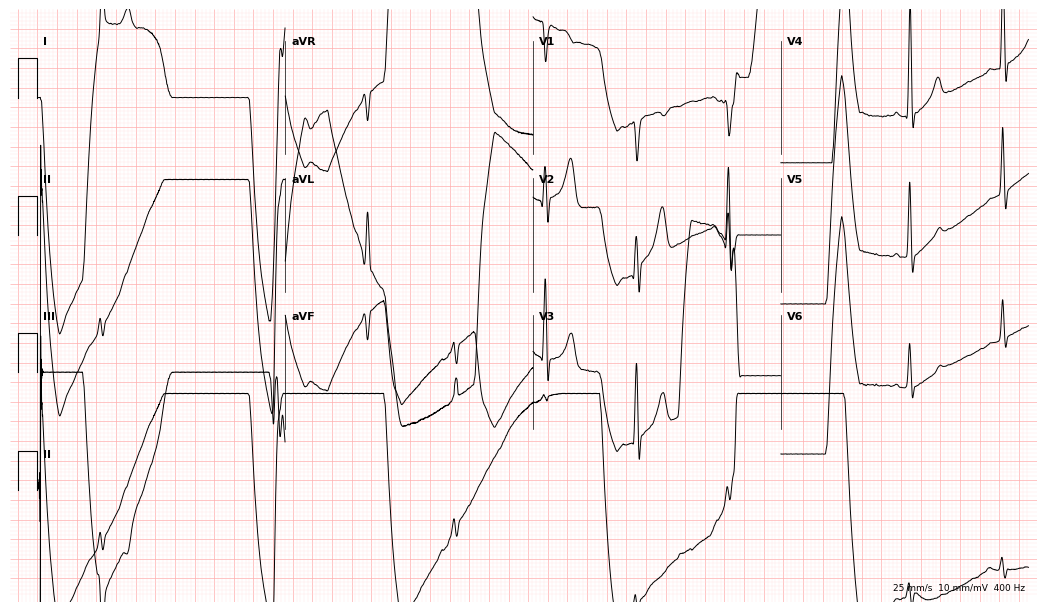
ECG (10.1-second recording at 400 Hz) — a 69-year-old male patient. Screened for six findings — first-degree AV block, right bundle branch block, left bundle branch block, sinus bradycardia, atrial fibrillation, sinus tachycardia — none is recorded.